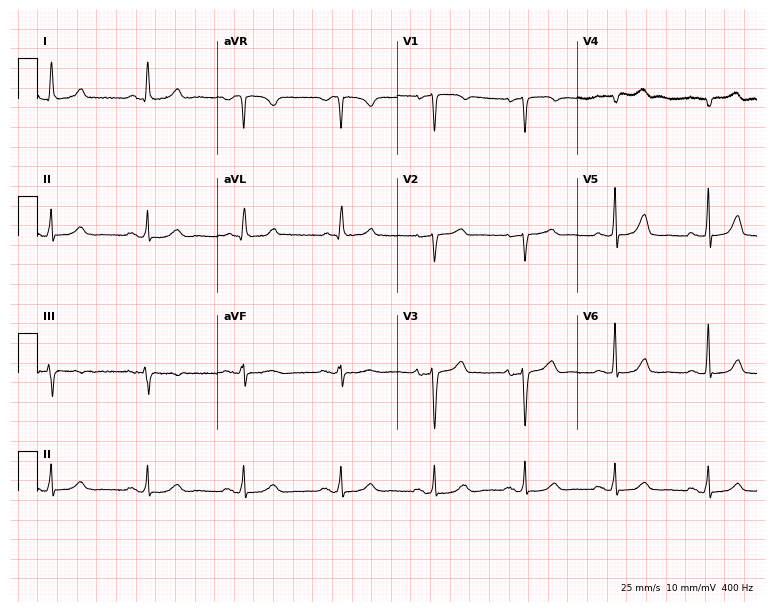
ECG — a woman, 72 years old. Labelled as a normal ECG.